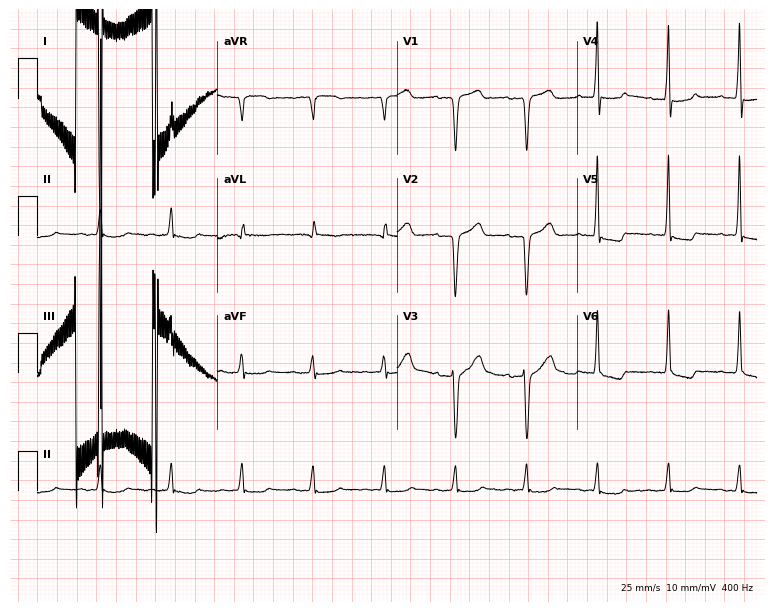
Electrocardiogram (7.3-second recording at 400 Hz), a female patient, 82 years old. Of the six screened findings (first-degree AV block, right bundle branch block, left bundle branch block, sinus bradycardia, atrial fibrillation, sinus tachycardia), none is recorded.